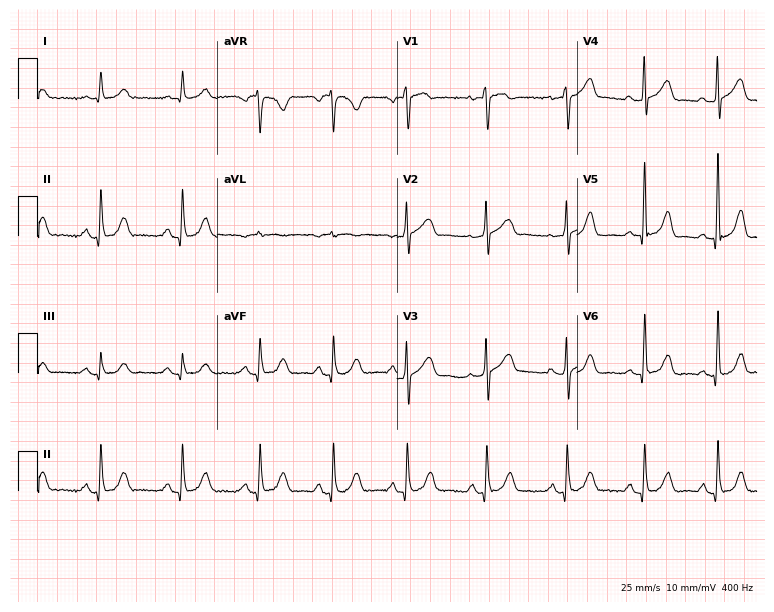
12-lead ECG (7.3-second recording at 400 Hz) from a female patient, 73 years old. Labelled as a normal ECG.